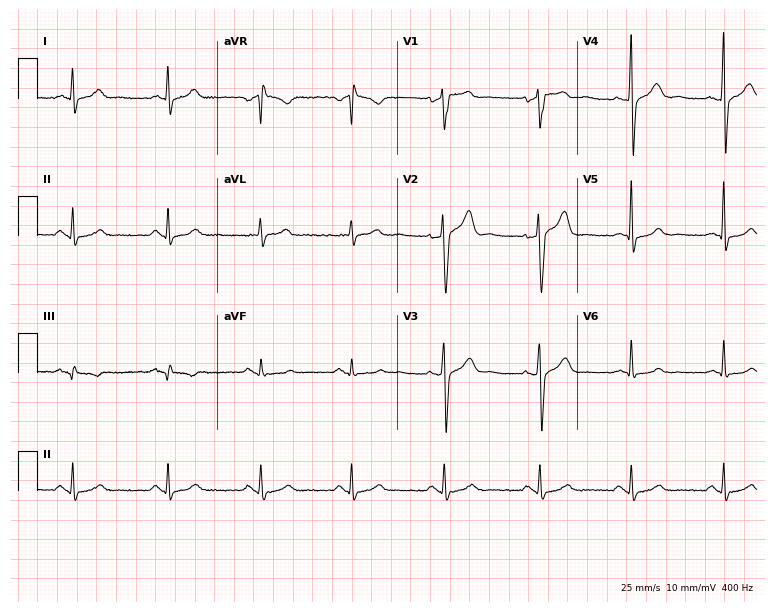
Resting 12-lead electrocardiogram (7.3-second recording at 400 Hz). Patient: a 51-year-old male. Read as a normal ECG.